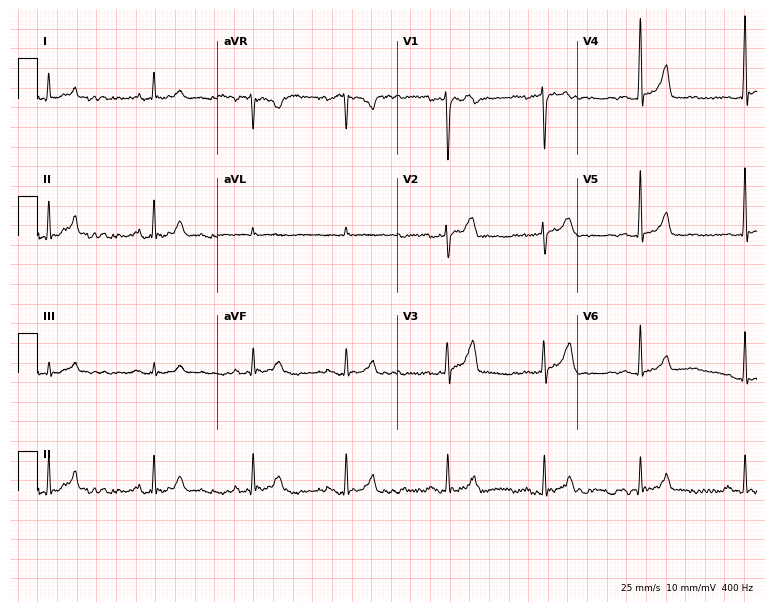
ECG — a male, 37 years old. Labelled as a normal ECG.